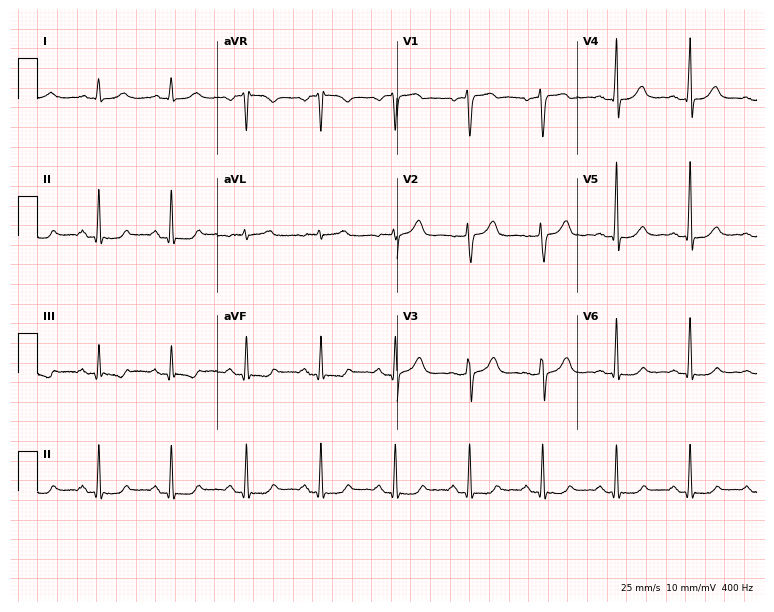
ECG (7.3-second recording at 400 Hz) — a 58-year-old man. Labelled as a normal ECG.